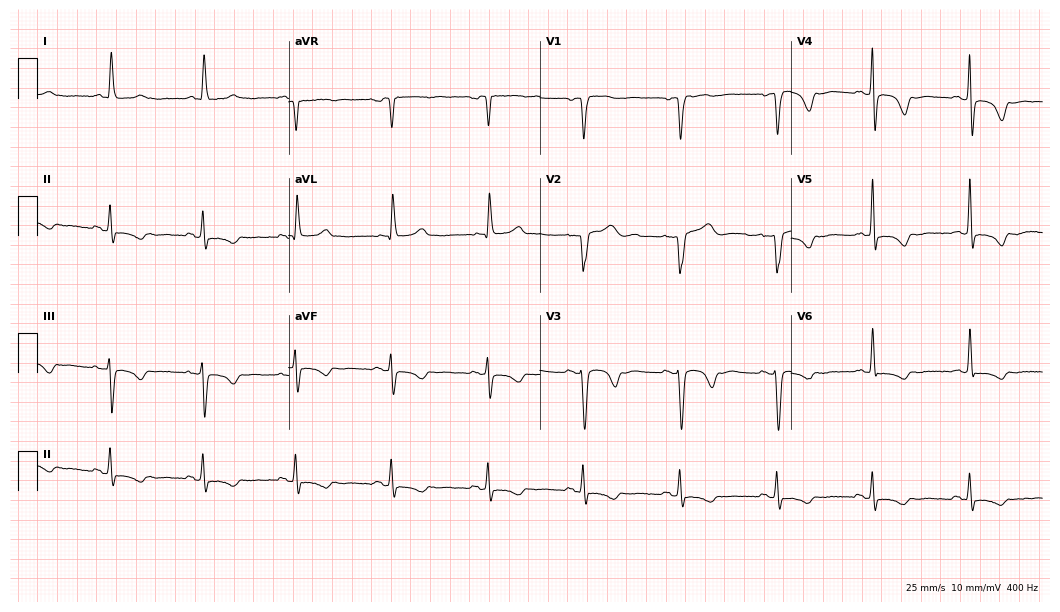
Electrocardiogram (10.2-second recording at 400 Hz), a female, 60 years old. Of the six screened findings (first-degree AV block, right bundle branch block (RBBB), left bundle branch block (LBBB), sinus bradycardia, atrial fibrillation (AF), sinus tachycardia), none is recorded. Findings outside these six are not listed.